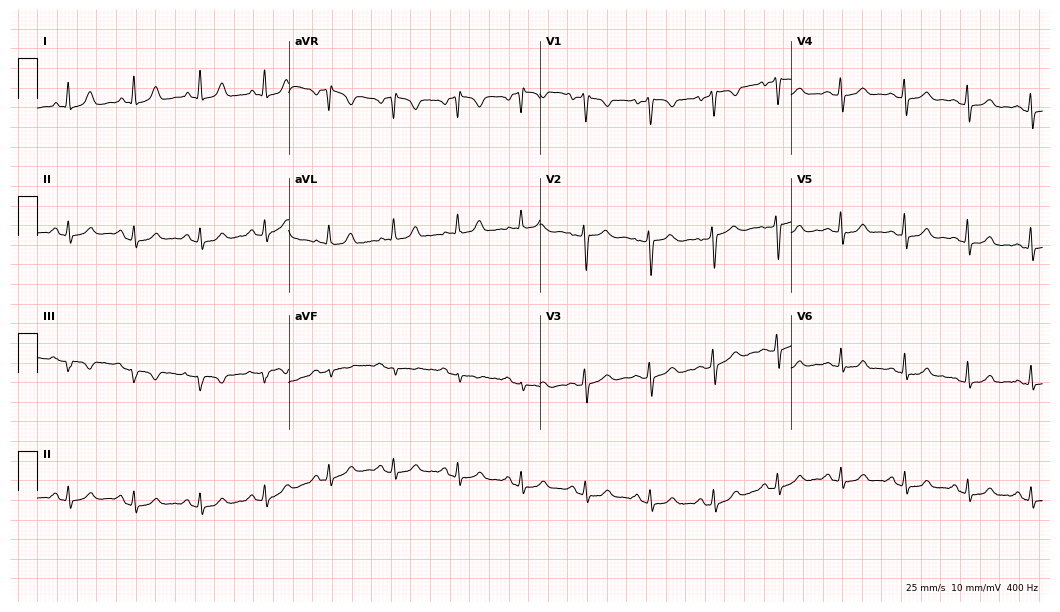
Electrocardiogram, a 44-year-old female. Overall reading on record: normal ECG.